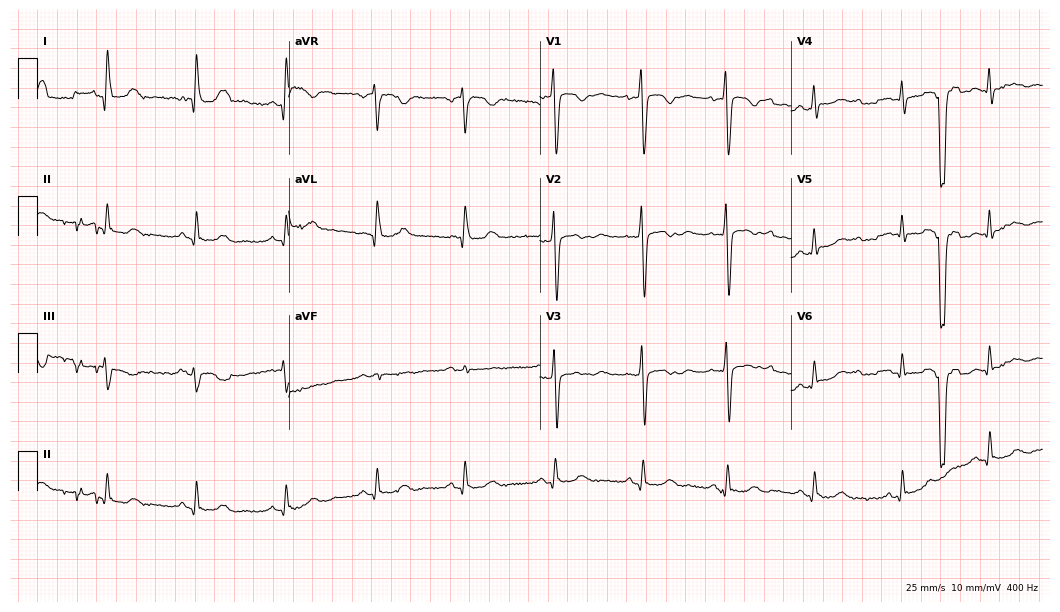
12-lead ECG from a woman, 57 years old (10.2-second recording at 400 Hz). No first-degree AV block, right bundle branch block, left bundle branch block, sinus bradycardia, atrial fibrillation or sinus tachycardia recorded for this tracing.